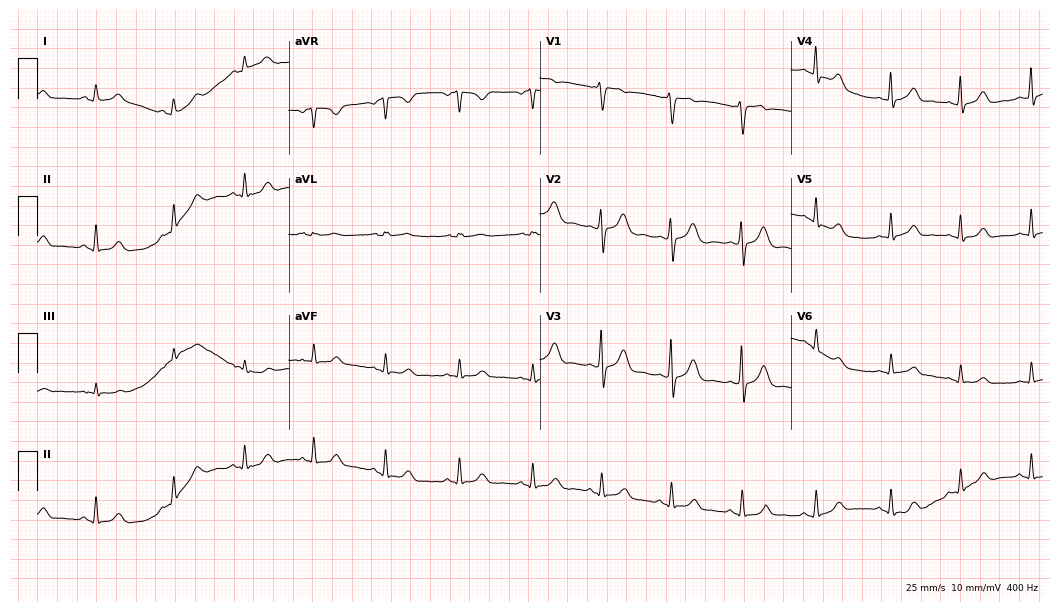
Resting 12-lead electrocardiogram (10.2-second recording at 400 Hz). Patient: a woman, 24 years old. Read as a normal ECG.